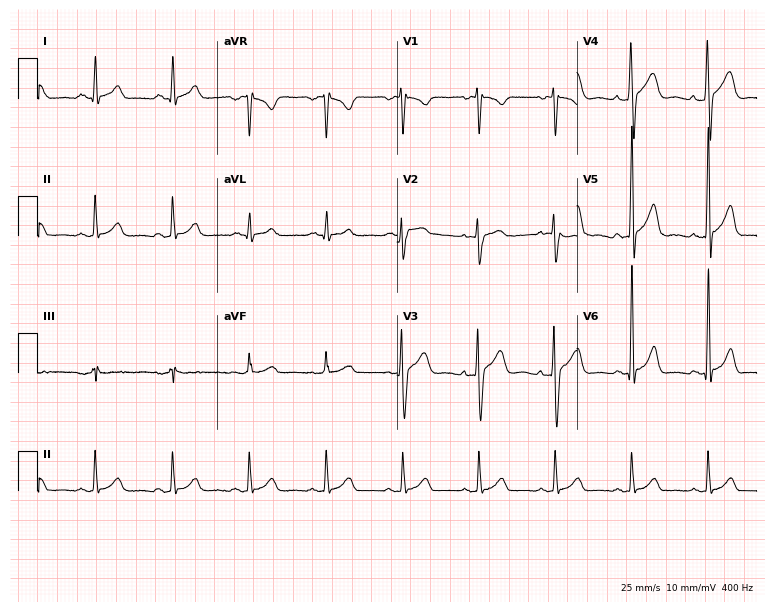
12-lead ECG from a male, 48 years old (7.3-second recording at 400 Hz). No first-degree AV block, right bundle branch block, left bundle branch block, sinus bradycardia, atrial fibrillation or sinus tachycardia recorded for this tracing. Findings outside these six are not listed.